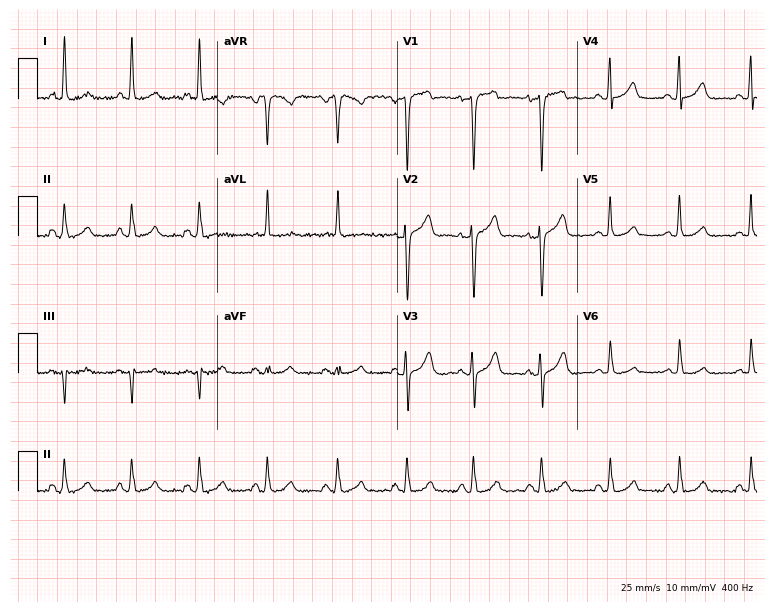
12-lead ECG (7.3-second recording at 400 Hz) from a 46-year-old female patient. Labelled as a normal ECG.